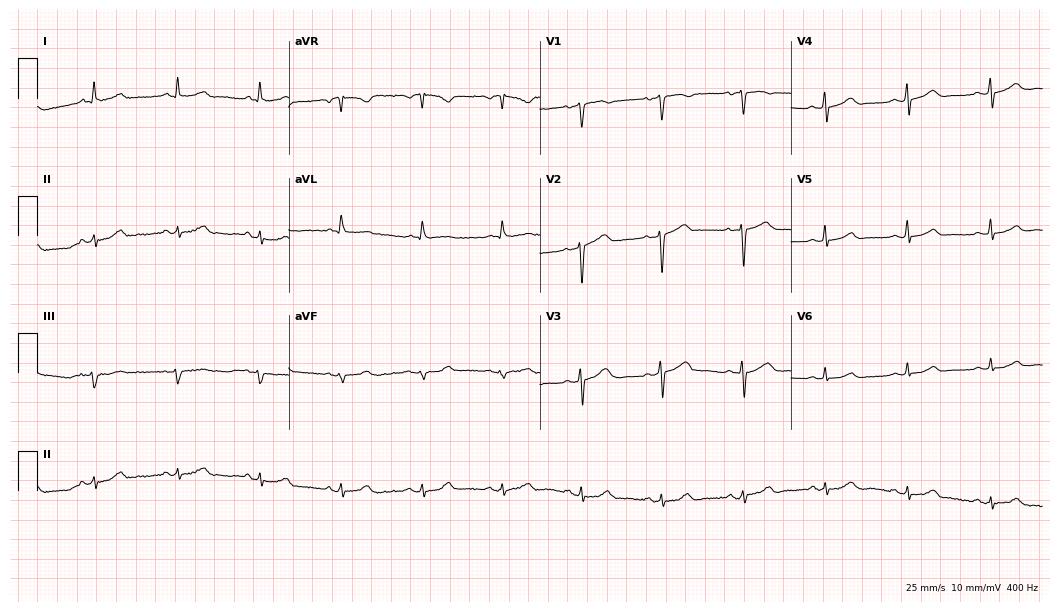
12-lead ECG from a woman, 55 years old. Screened for six findings — first-degree AV block, right bundle branch block (RBBB), left bundle branch block (LBBB), sinus bradycardia, atrial fibrillation (AF), sinus tachycardia — none is recorded.